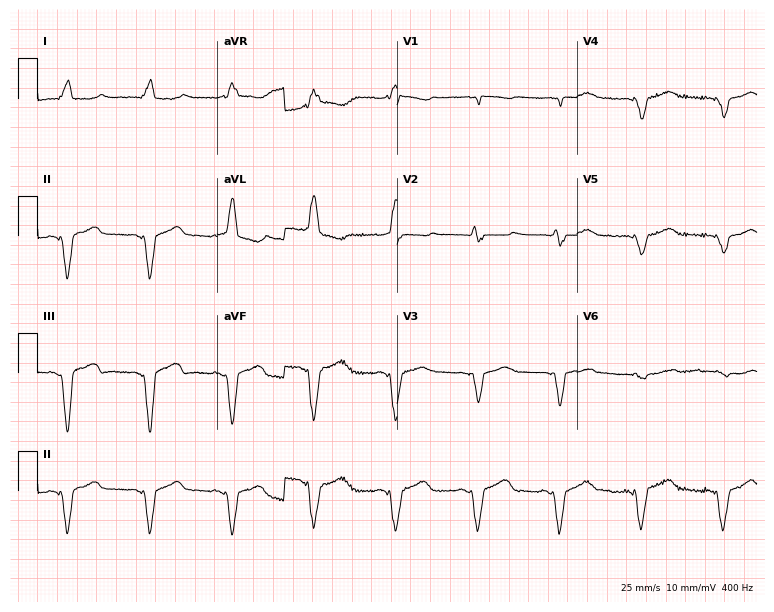
Standard 12-lead ECG recorded from an 81-year-old female (7.3-second recording at 400 Hz). None of these six findings is recorded: first-degree AV block, right bundle branch block (RBBB), left bundle branch block (LBBB), sinus bradycardia, atrial fibrillation (AF), sinus tachycardia. Other findings, if any, are not listed.